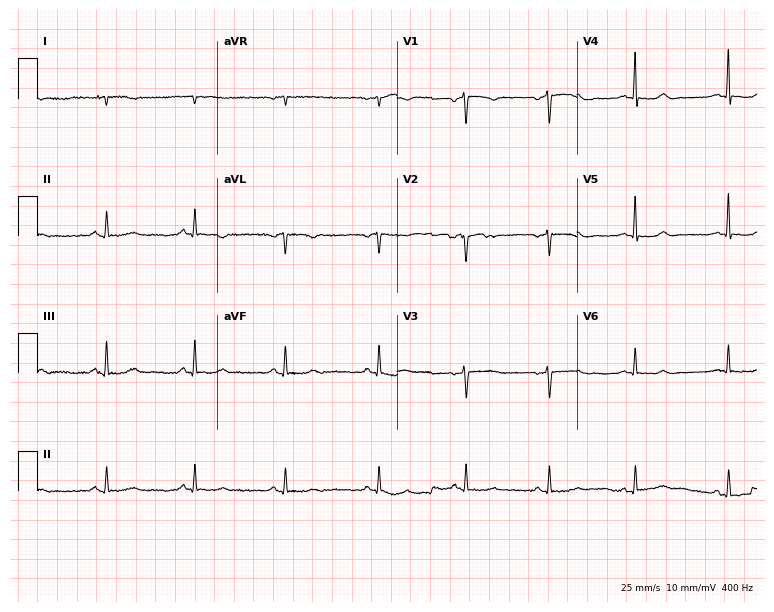
Standard 12-lead ECG recorded from an 81-year-old man. None of these six findings is recorded: first-degree AV block, right bundle branch block, left bundle branch block, sinus bradycardia, atrial fibrillation, sinus tachycardia. Findings outside these six are not listed.